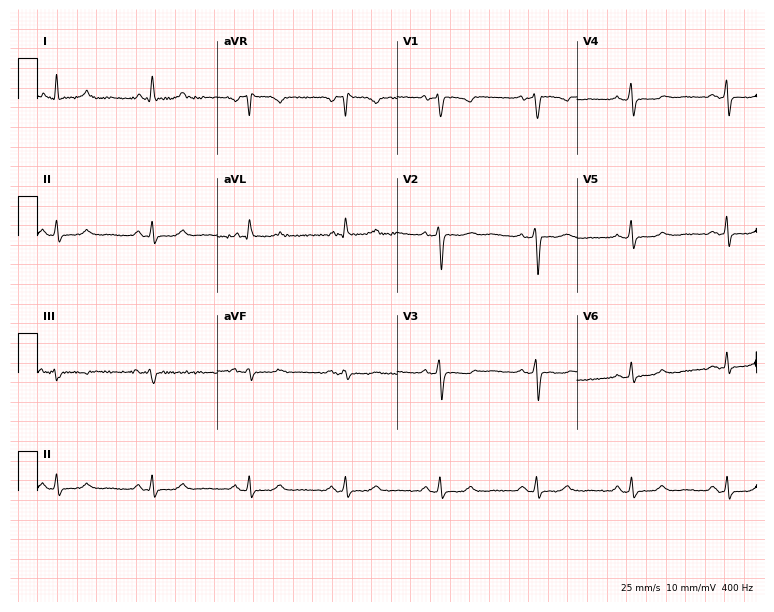
12-lead ECG from a female, 57 years old. No first-degree AV block, right bundle branch block (RBBB), left bundle branch block (LBBB), sinus bradycardia, atrial fibrillation (AF) or sinus tachycardia recorded for this tracing. Only these six findings were labelled.